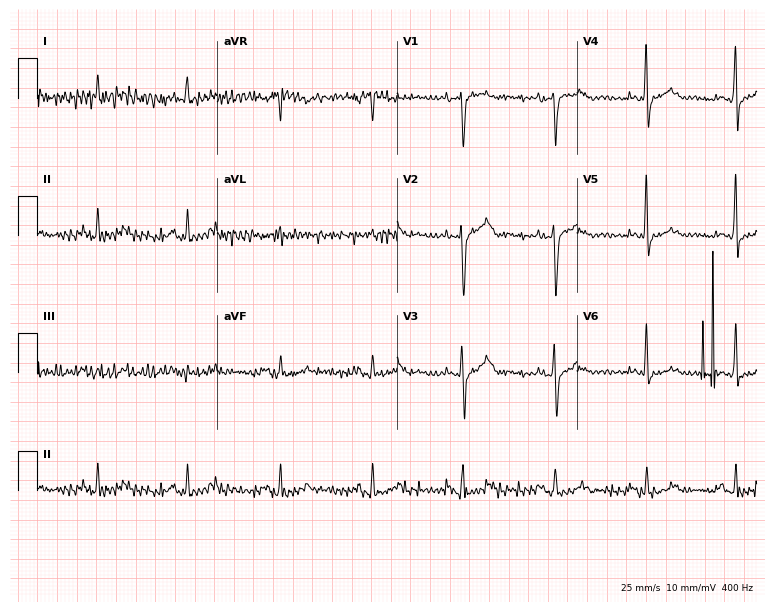
12-lead ECG from a 73-year-old male. Labelled as a normal ECG.